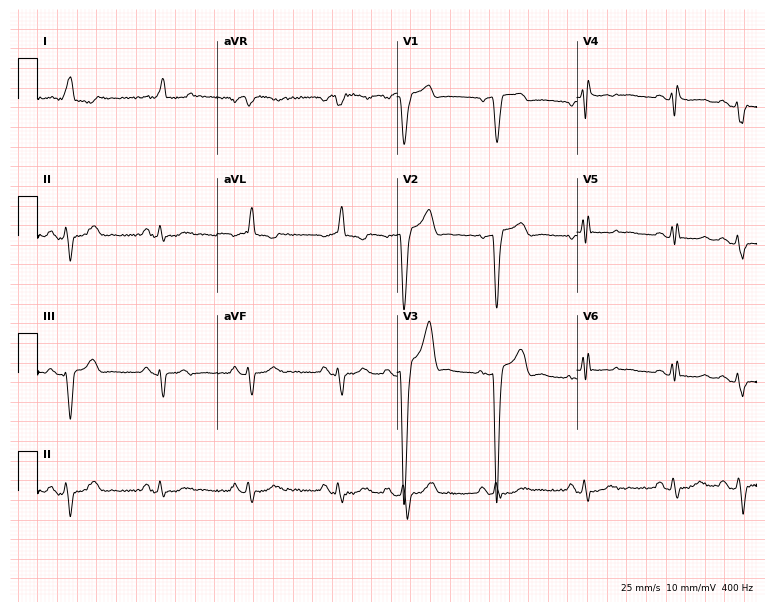
Standard 12-lead ECG recorded from a female patient, 67 years old (7.3-second recording at 400 Hz). The tracing shows left bundle branch block (LBBB).